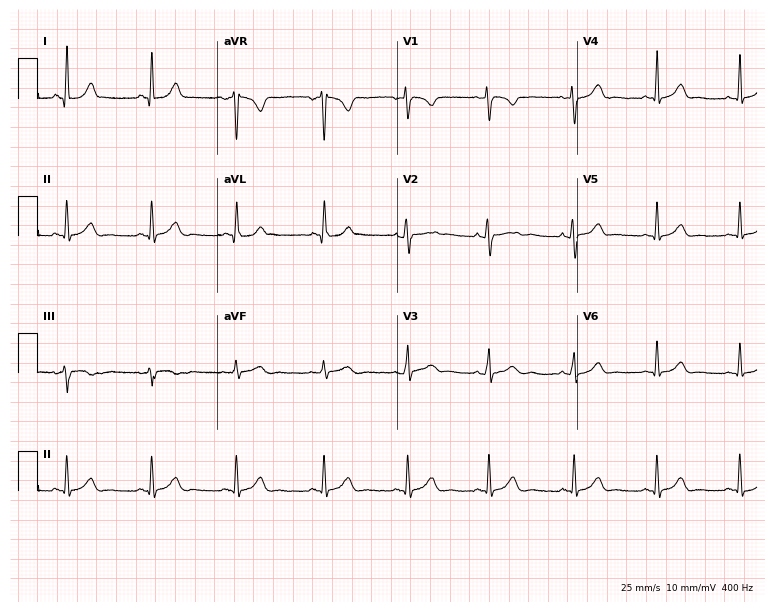
ECG — a female, 25 years old. Labelled as a normal ECG.